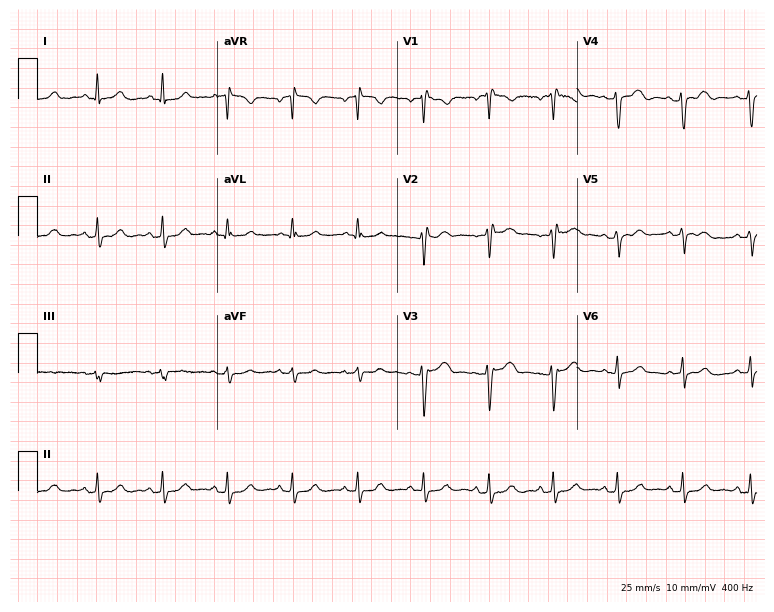
Resting 12-lead electrocardiogram (7.3-second recording at 400 Hz). Patient: a female, 50 years old. None of these six findings is recorded: first-degree AV block, right bundle branch block, left bundle branch block, sinus bradycardia, atrial fibrillation, sinus tachycardia. Other findings, if any, are not listed.